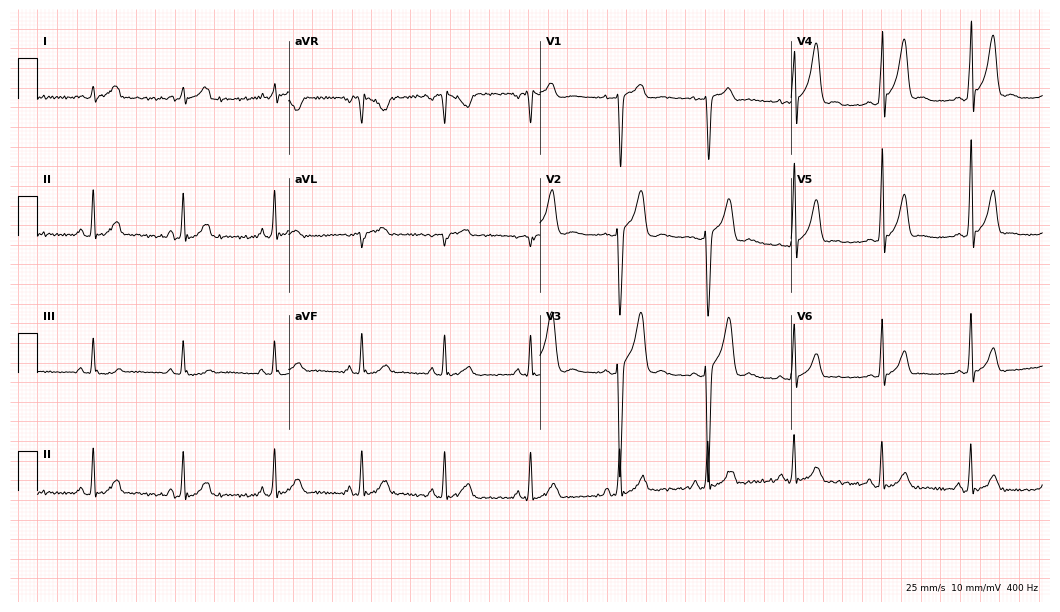
Standard 12-lead ECG recorded from a 20-year-old male patient (10.2-second recording at 400 Hz). None of these six findings is recorded: first-degree AV block, right bundle branch block, left bundle branch block, sinus bradycardia, atrial fibrillation, sinus tachycardia. Only these six findings were labelled.